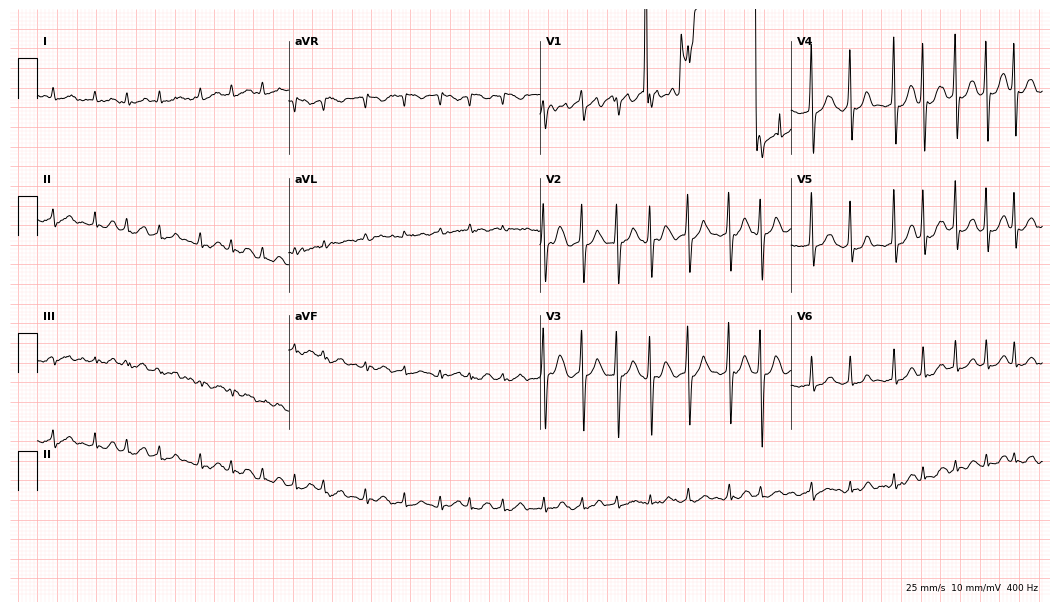
Electrocardiogram (10.2-second recording at 400 Hz), a 79-year-old woman. Interpretation includes atrial fibrillation.